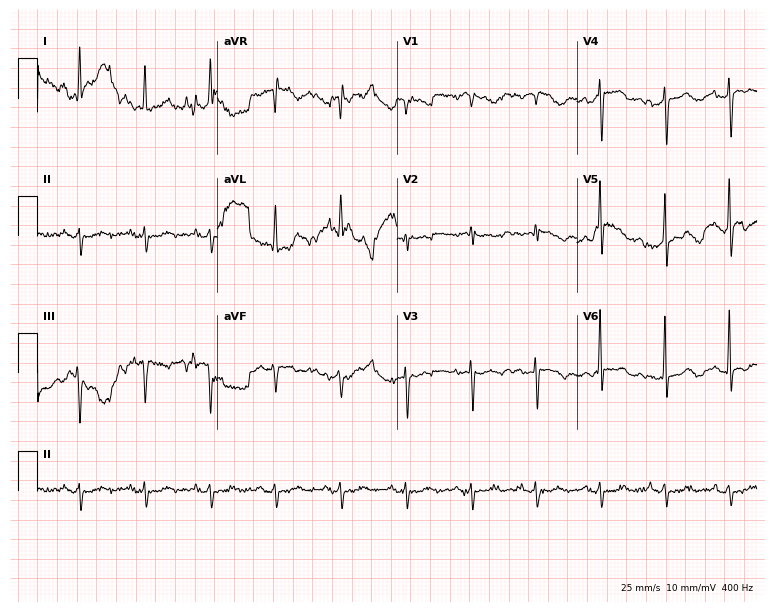
ECG (7.3-second recording at 400 Hz) — a 61-year-old man. Screened for six findings — first-degree AV block, right bundle branch block (RBBB), left bundle branch block (LBBB), sinus bradycardia, atrial fibrillation (AF), sinus tachycardia — none is recorded. Findings outside these six are not listed.